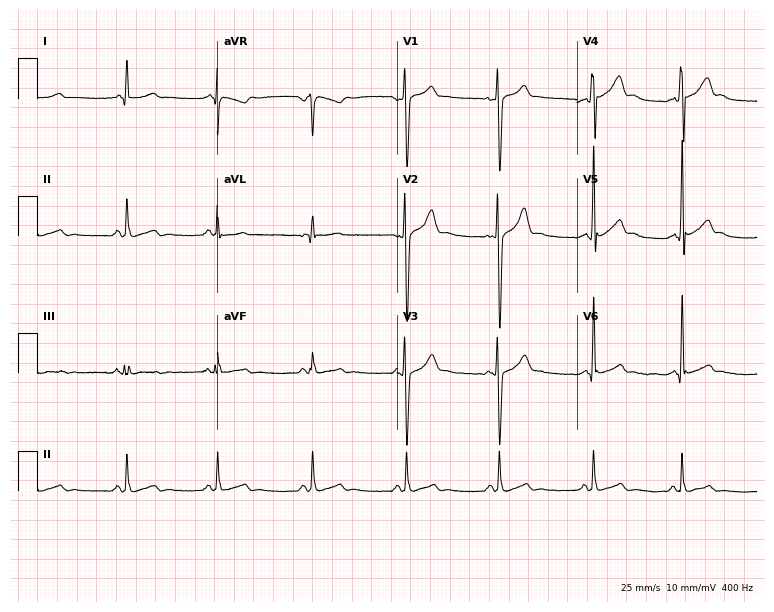
ECG — a 25-year-old male patient. Screened for six findings — first-degree AV block, right bundle branch block, left bundle branch block, sinus bradycardia, atrial fibrillation, sinus tachycardia — none is recorded. Other findings, if any, are not listed.